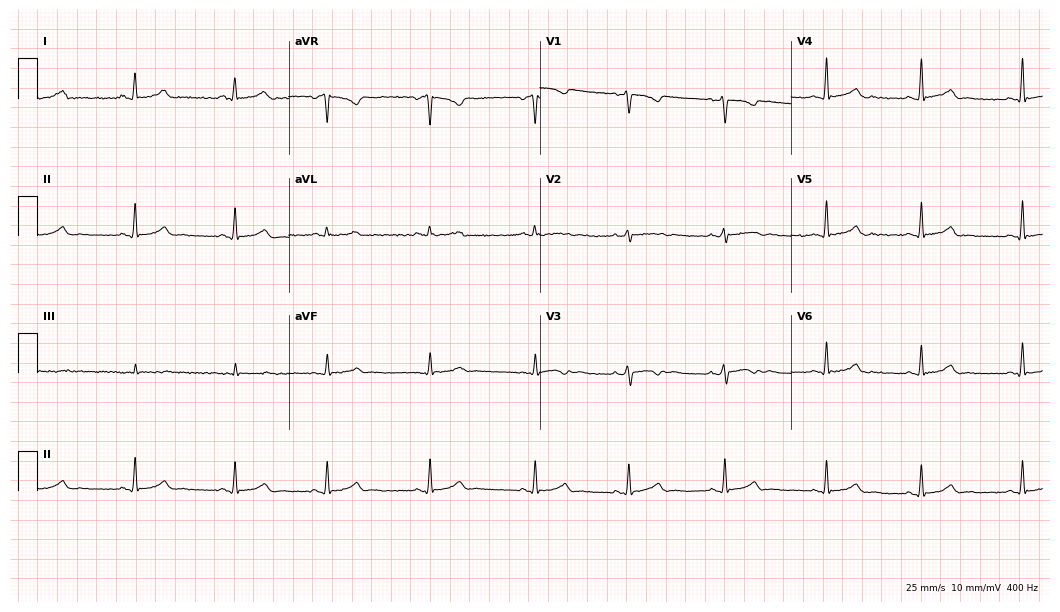
Standard 12-lead ECG recorded from a female, 32 years old (10.2-second recording at 400 Hz). Read as a normal ECG.